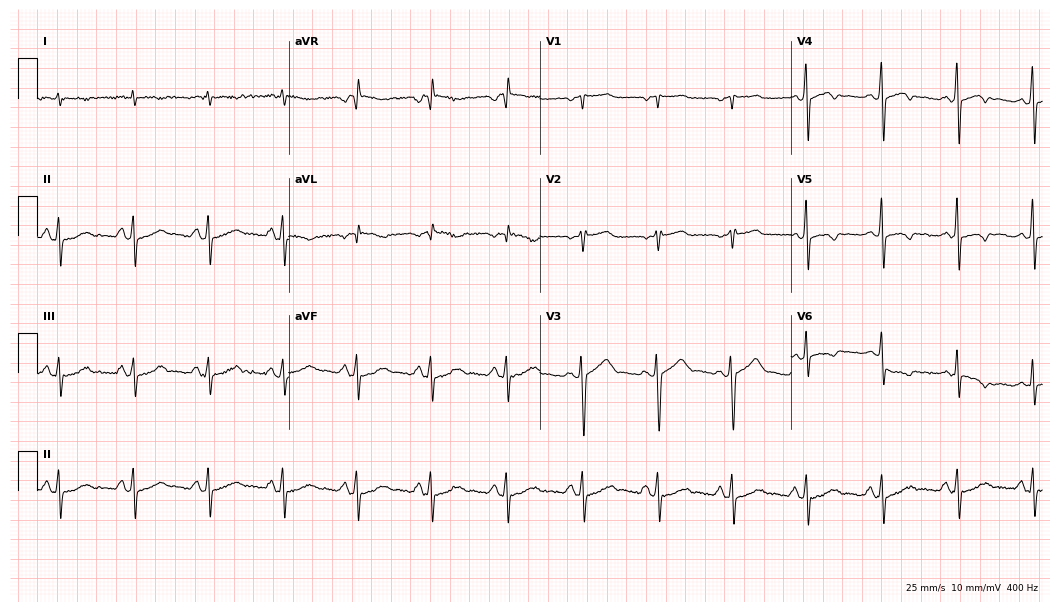
12-lead ECG from a woman, 54 years old (10.2-second recording at 400 Hz). No first-degree AV block, right bundle branch block, left bundle branch block, sinus bradycardia, atrial fibrillation or sinus tachycardia recorded for this tracing.